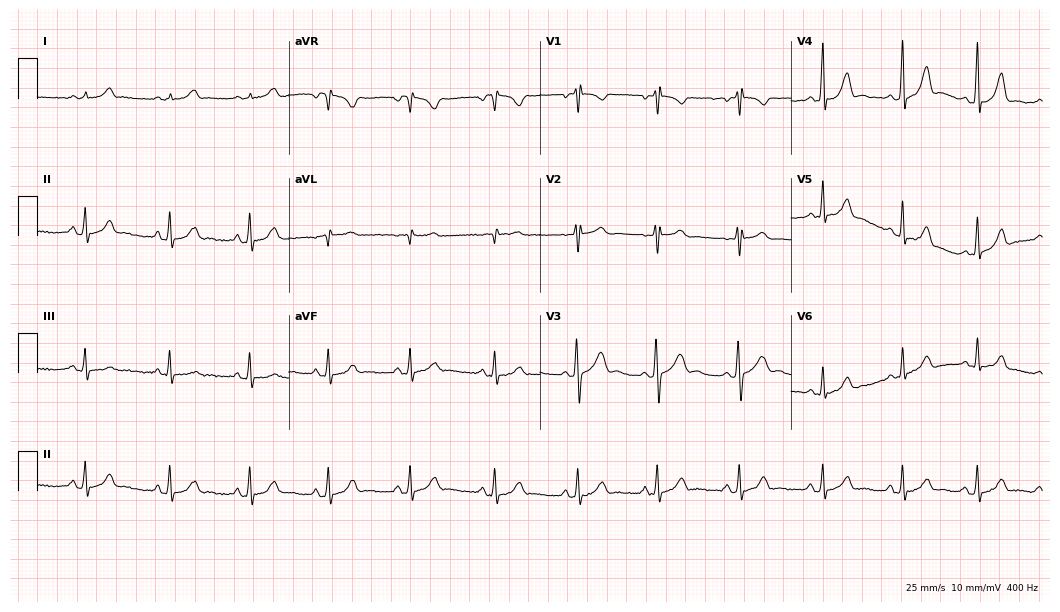
Electrocardiogram (10.2-second recording at 400 Hz), a female patient, 25 years old. Overall reading on record: normal ECG.